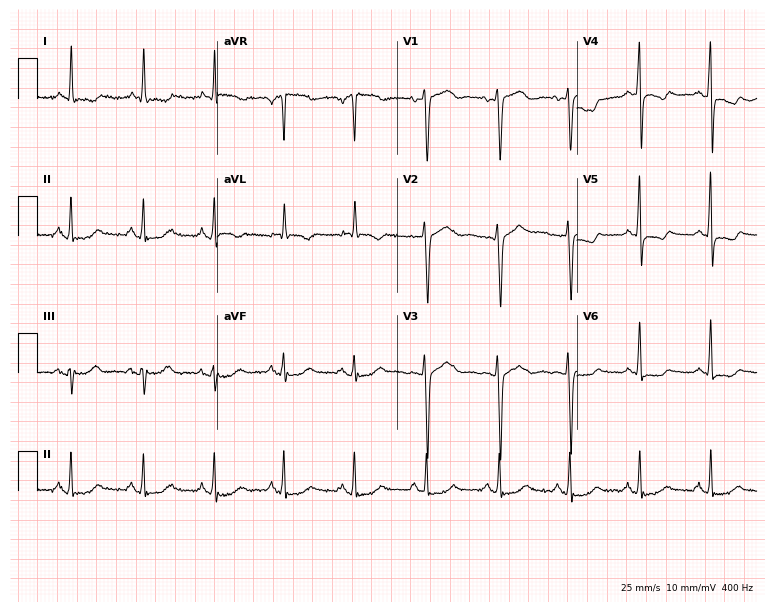
ECG — a woman, 71 years old. Screened for six findings — first-degree AV block, right bundle branch block, left bundle branch block, sinus bradycardia, atrial fibrillation, sinus tachycardia — none is recorded.